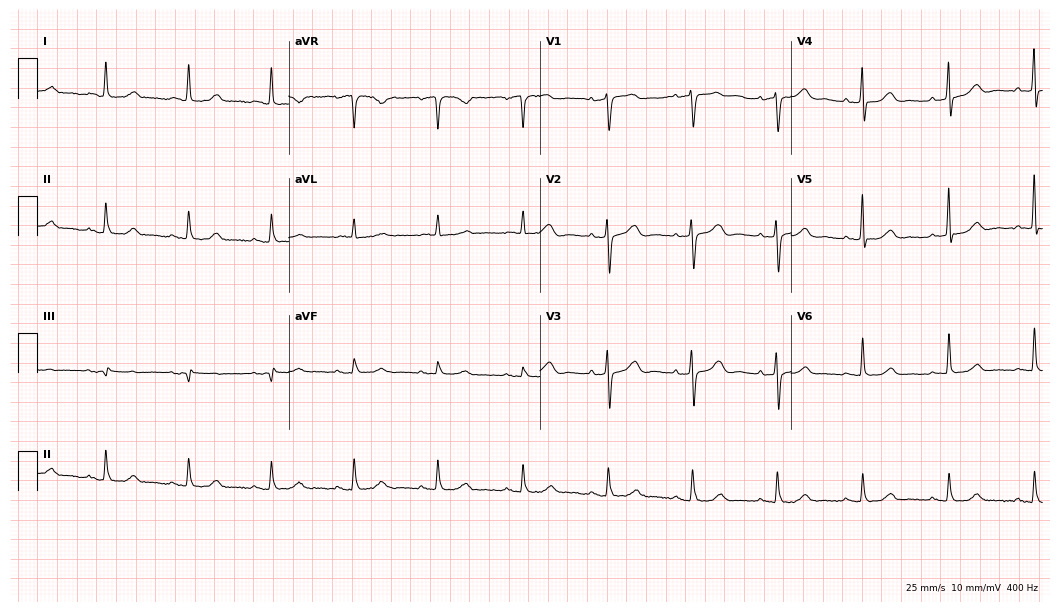
12-lead ECG from a 74-year-old female. Labelled as a normal ECG.